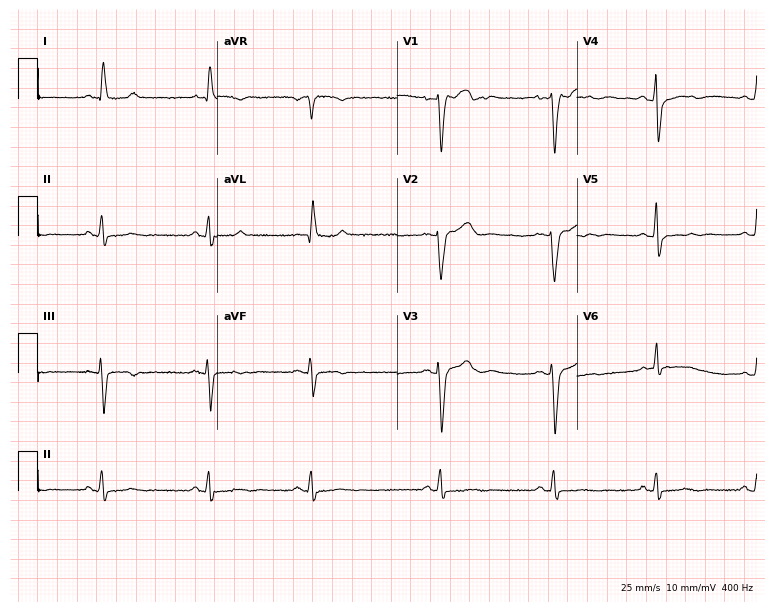
ECG (7.3-second recording at 400 Hz) — a man, 72 years old. Screened for six findings — first-degree AV block, right bundle branch block, left bundle branch block, sinus bradycardia, atrial fibrillation, sinus tachycardia — none is recorded.